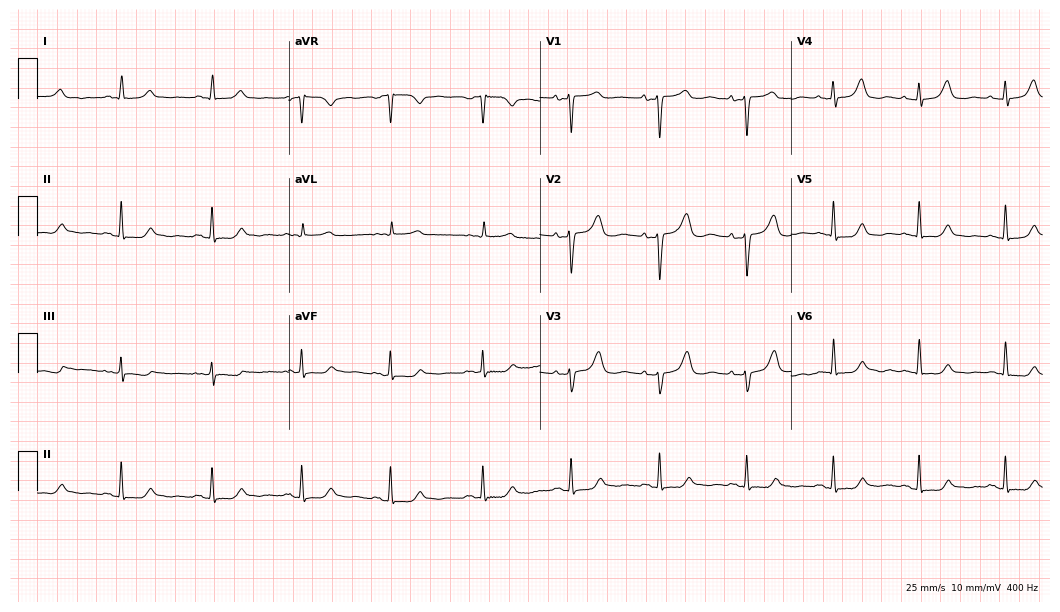
12-lead ECG (10.2-second recording at 400 Hz) from a 70-year-old female patient. Screened for six findings — first-degree AV block, right bundle branch block (RBBB), left bundle branch block (LBBB), sinus bradycardia, atrial fibrillation (AF), sinus tachycardia — none is recorded. Findings outside these six are not listed.